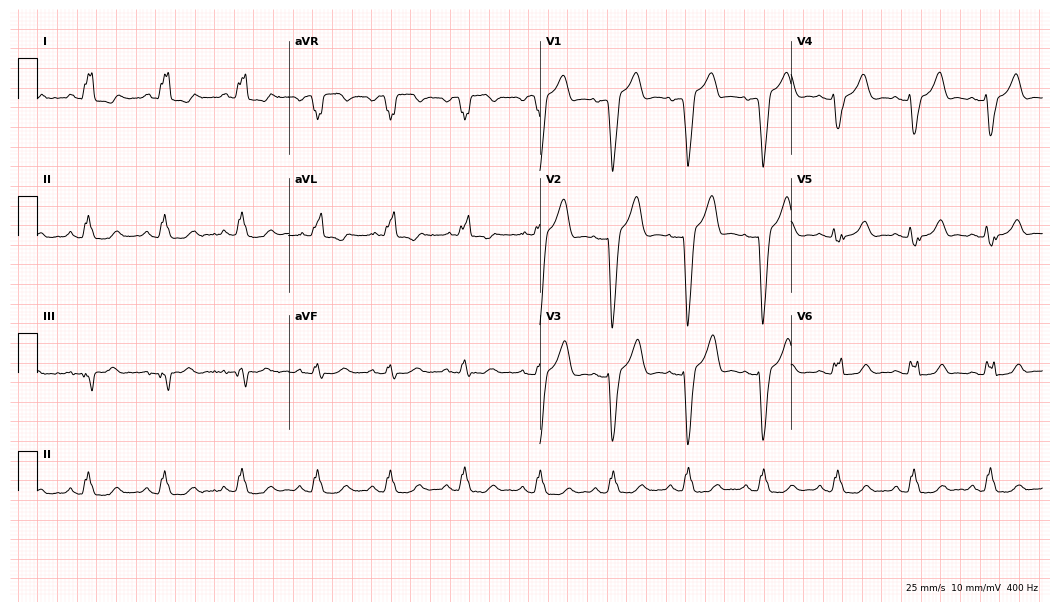
Electrocardiogram, a 70-year-old female patient. Interpretation includes left bundle branch block.